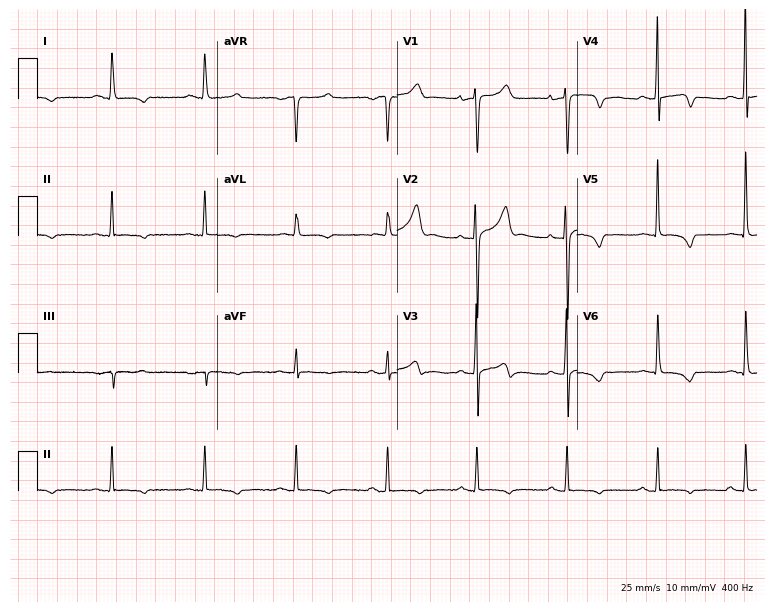
Standard 12-lead ECG recorded from a female, 57 years old (7.3-second recording at 400 Hz). None of these six findings is recorded: first-degree AV block, right bundle branch block, left bundle branch block, sinus bradycardia, atrial fibrillation, sinus tachycardia.